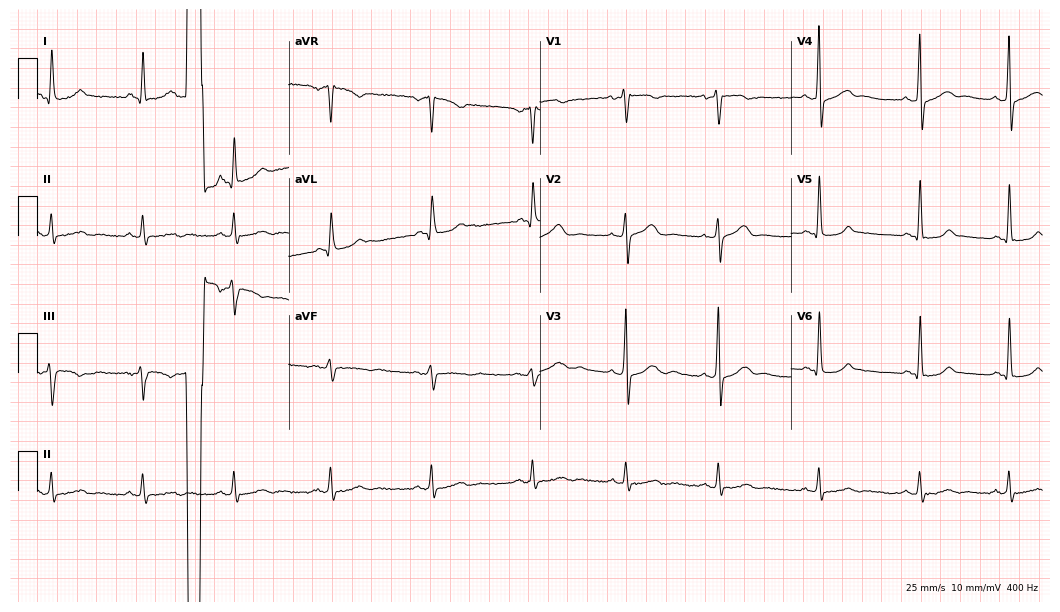
Standard 12-lead ECG recorded from a male, 36 years old. None of these six findings is recorded: first-degree AV block, right bundle branch block, left bundle branch block, sinus bradycardia, atrial fibrillation, sinus tachycardia.